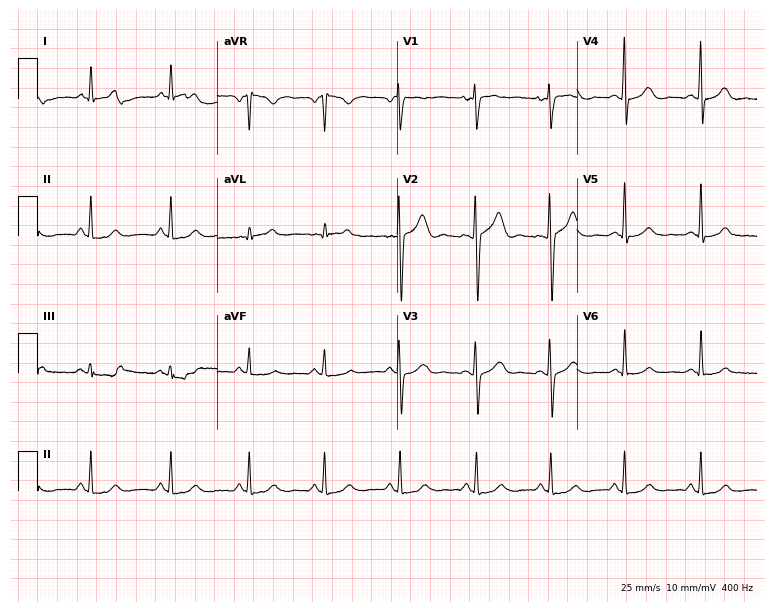
Standard 12-lead ECG recorded from a 38-year-old female. Read as a normal ECG.